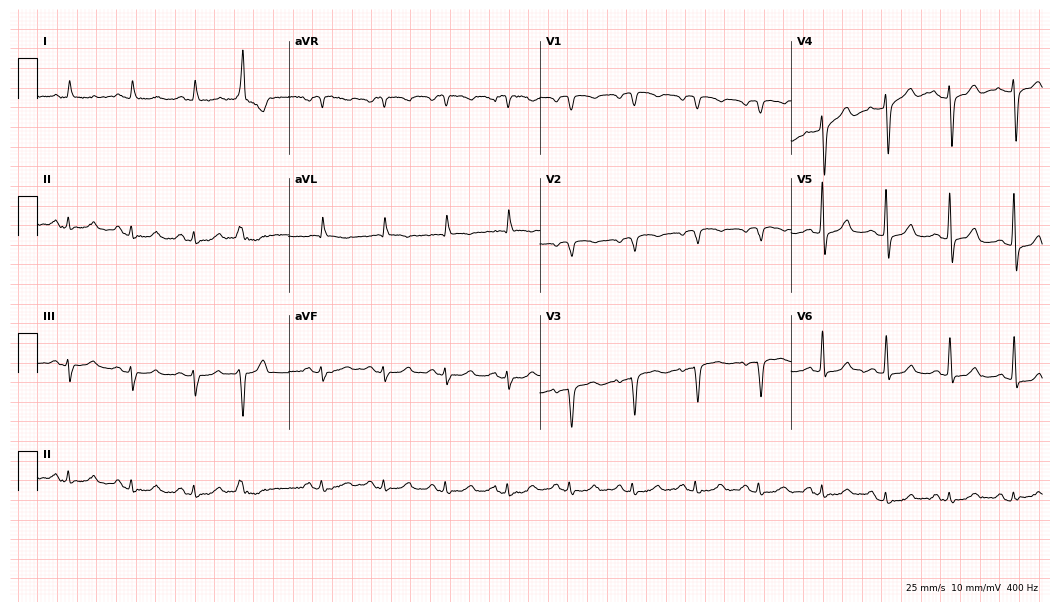
Resting 12-lead electrocardiogram. Patient: an 86-year-old male. None of these six findings is recorded: first-degree AV block, right bundle branch block, left bundle branch block, sinus bradycardia, atrial fibrillation, sinus tachycardia. Other findings, if any, are not listed.